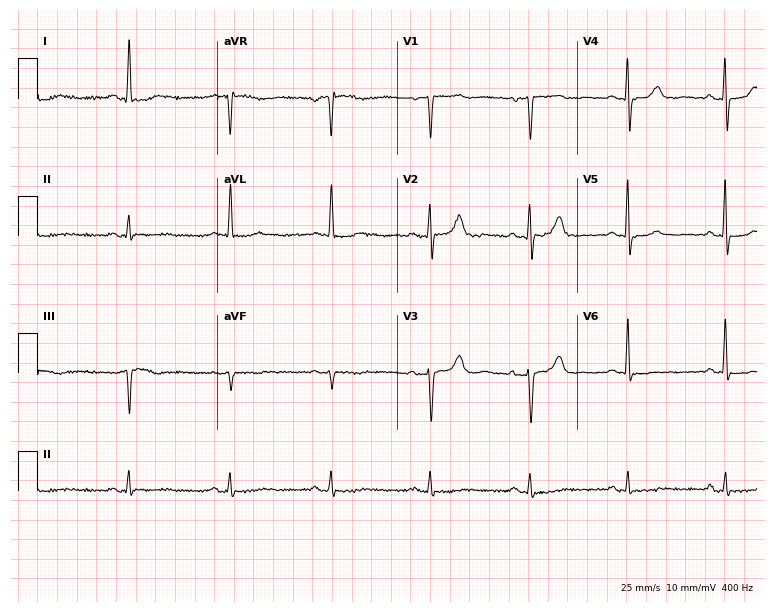
Standard 12-lead ECG recorded from a female patient, 67 years old (7.3-second recording at 400 Hz). None of these six findings is recorded: first-degree AV block, right bundle branch block, left bundle branch block, sinus bradycardia, atrial fibrillation, sinus tachycardia. Findings outside these six are not listed.